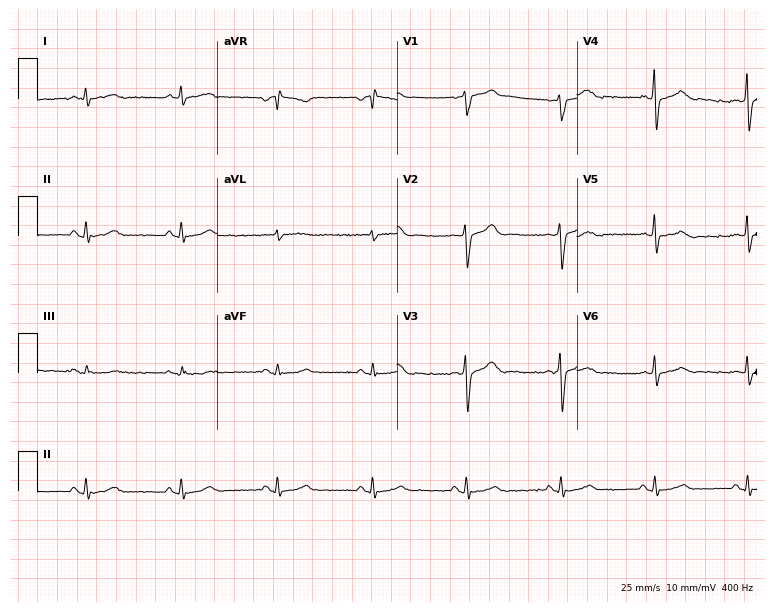
ECG — a 45-year-old male patient. Screened for six findings — first-degree AV block, right bundle branch block (RBBB), left bundle branch block (LBBB), sinus bradycardia, atrial fibrillation (AF), sinus tachycardia — none is recorded. Findings outside these six are not listed.